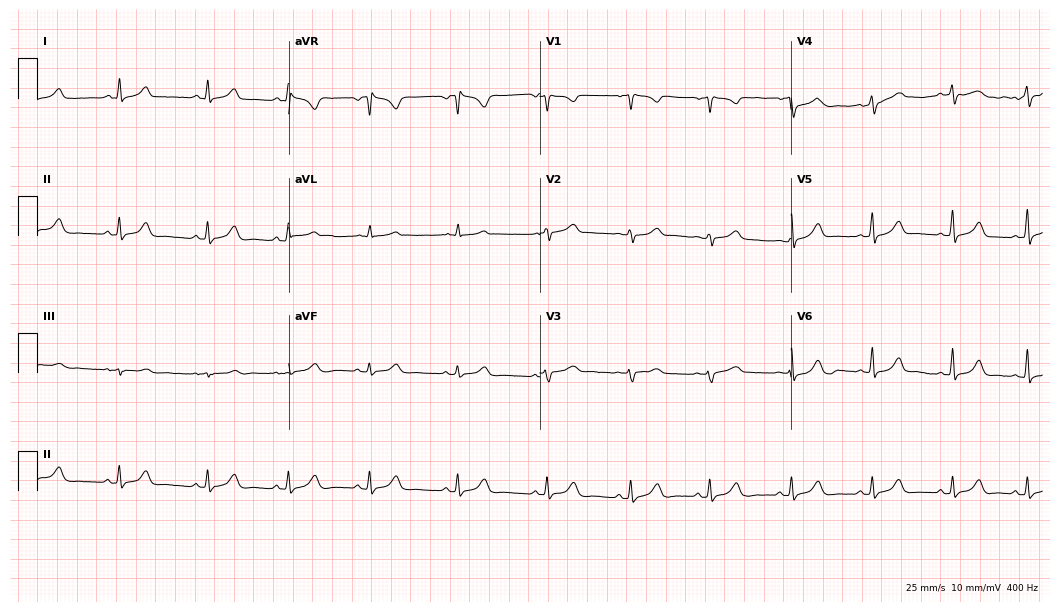
Resting 12-lead electrocardiogram (10.2-second recording at 400 Hz). Patient: a 24-year-old female. Read as a normal ECG.